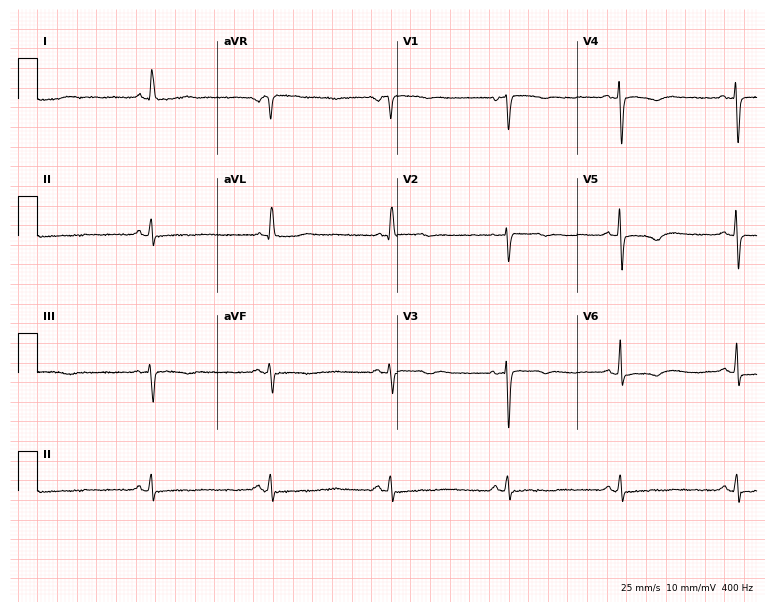
Standard 12-lead ECG recorded from a female patient, 60 years old (7.3-second recording at 400 Hz). None of these six findings is recorded: first-degree AV block, right bundle branch block (RBBB), left bundle branch block (LBBB), sinus bradycardia, atrial fibrillation (AF), sinus tachycardia.